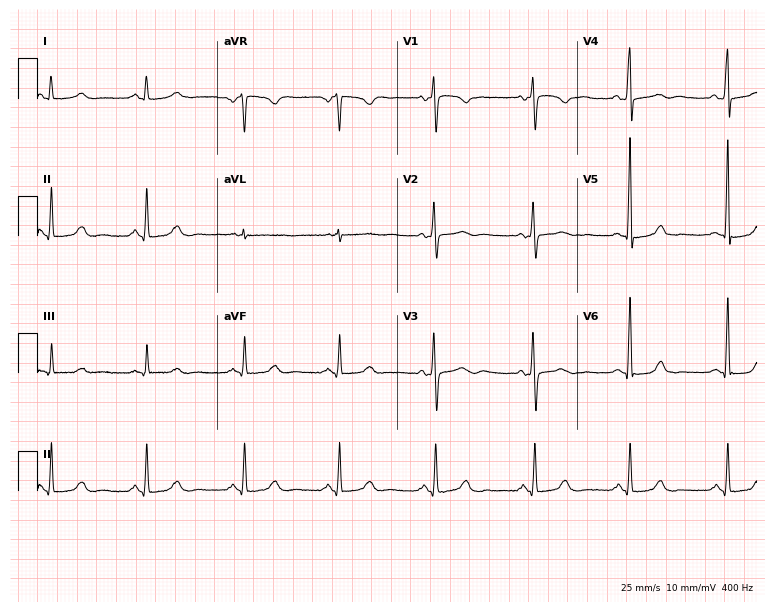
ECG (7.3-second recording at 400 Hz) — a woman, 43 years old. Labelled as a normal ECG.